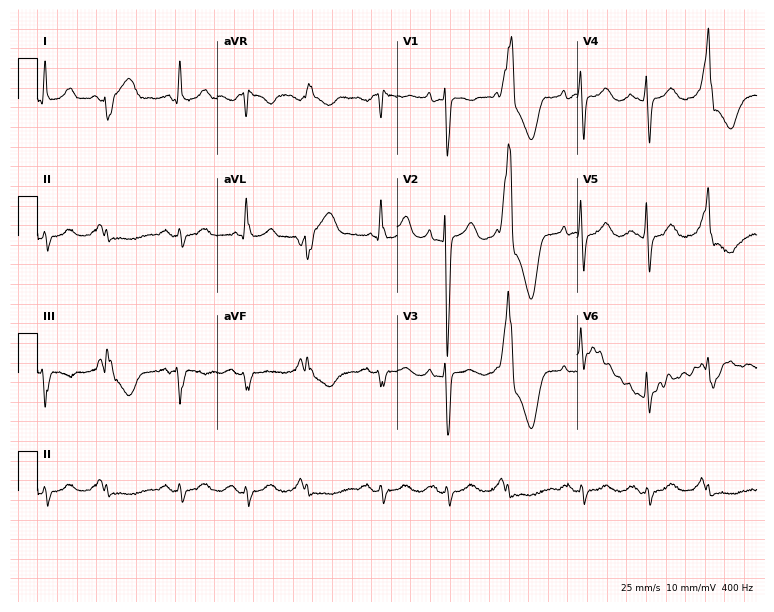
Standard 12-lead ECG recorded from a 79-year-old female. None of these six findings is recorded: first-degree AV block, right bundle branch block, left bundle branch block, sinus bradycardia, atrial fibrillation, sinus tachycardia. Only these six findings were labelled.